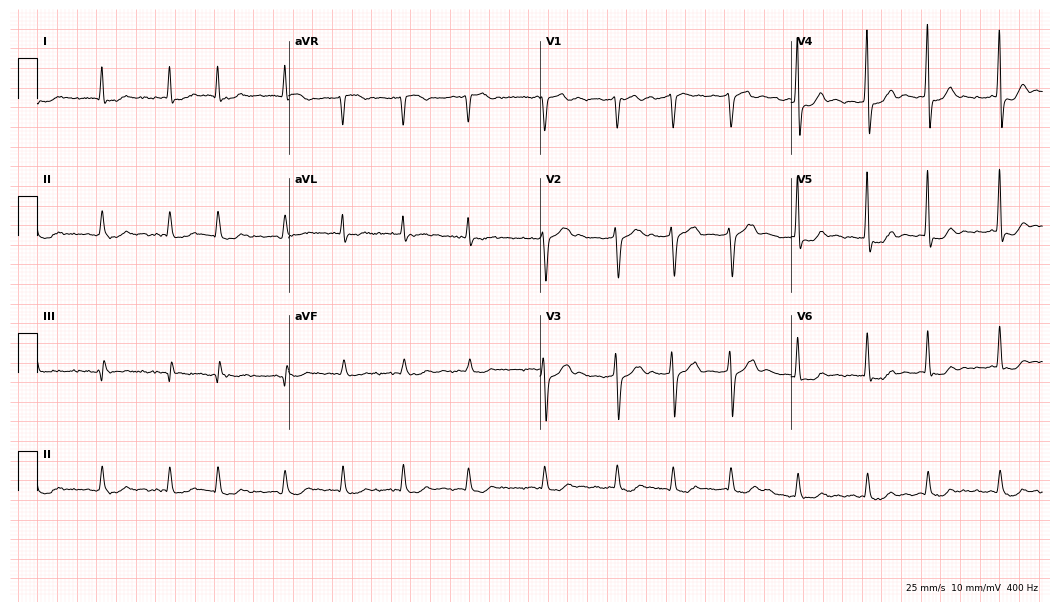
12-lead ECG from a male, 74 years old. Screened for six findings — first-degree AV block, right bundle branch block (RBBB), left bundle branch block (LBBB), sinus bradycardia, atrial fibrillation (AF), sinus tachycardia — none is recorded.